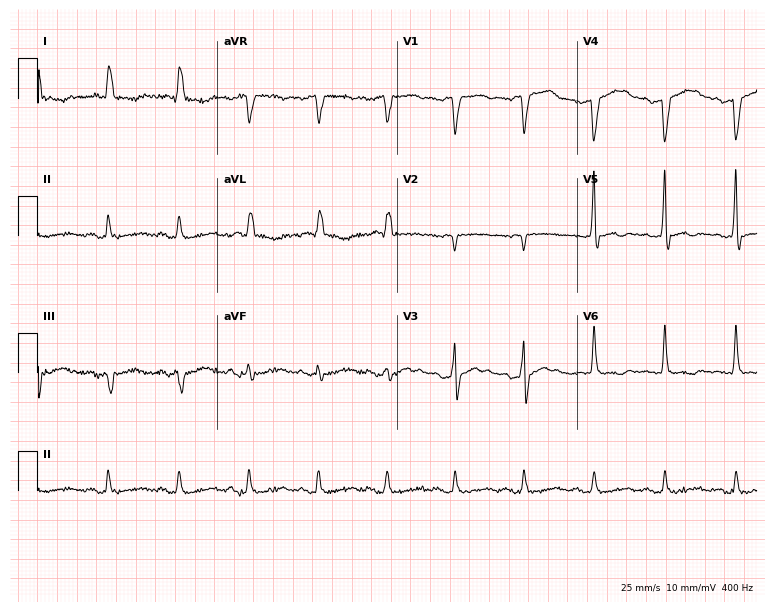
ECG — a woman, 80 years old. Findings include atrial fibrillation.